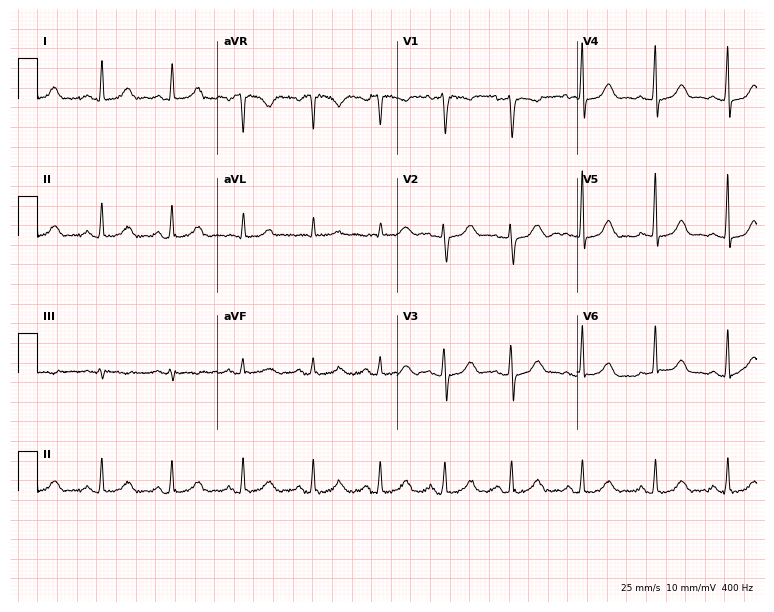
12-lead ECG from a female, 43 years old. Recorded interpretation: within normal limits.